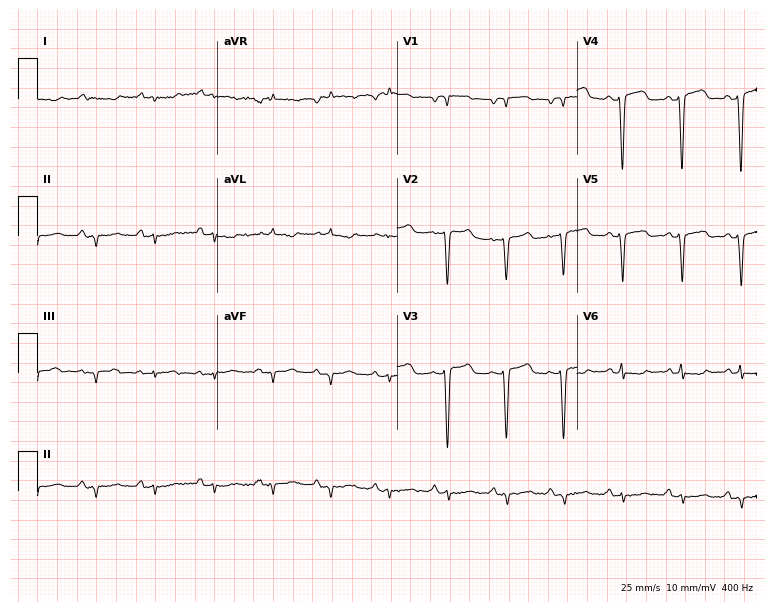
Standard 12-lead ECG recorded from an 85-year-old woman. None of these six findings is recorded: first-degree AV block, right bundle branch block, left bundle branch block, sinus bradycardia, atrial fibrillation, sinus tachycardia. Other findings, if any, are not listed.